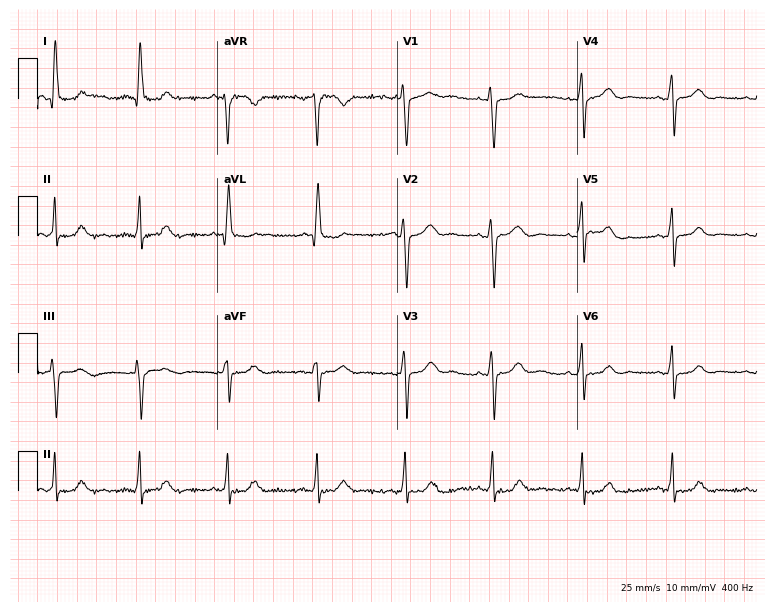
Resting 12-lead electrocardiogram. Patient: a 56-year-old female. Read as a normal ECG.